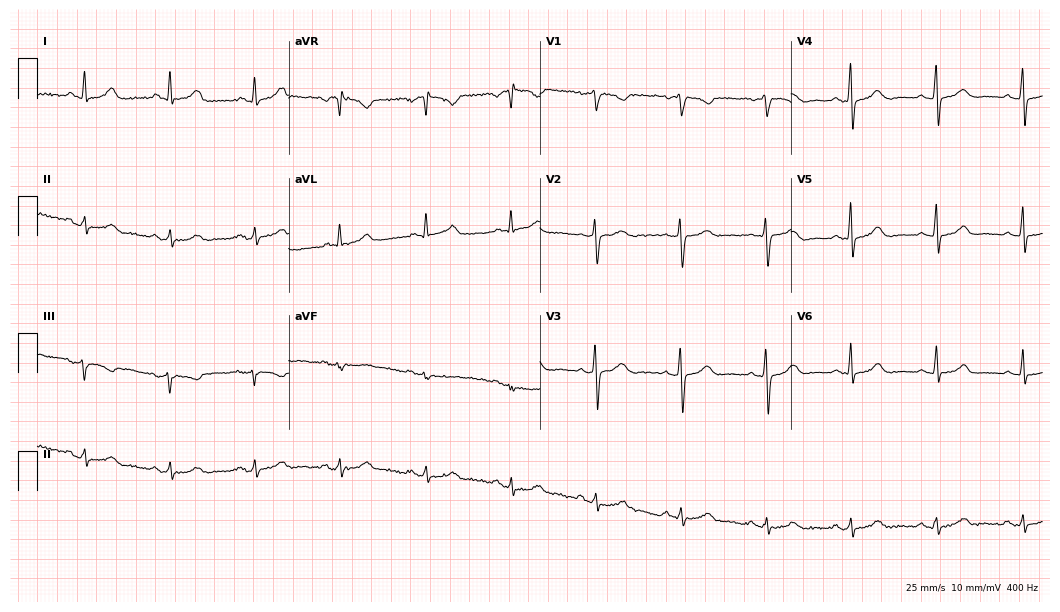
Resting 12-lead electrocardiogram. Patient: a female, 50 years old. Read as a normal ECG.